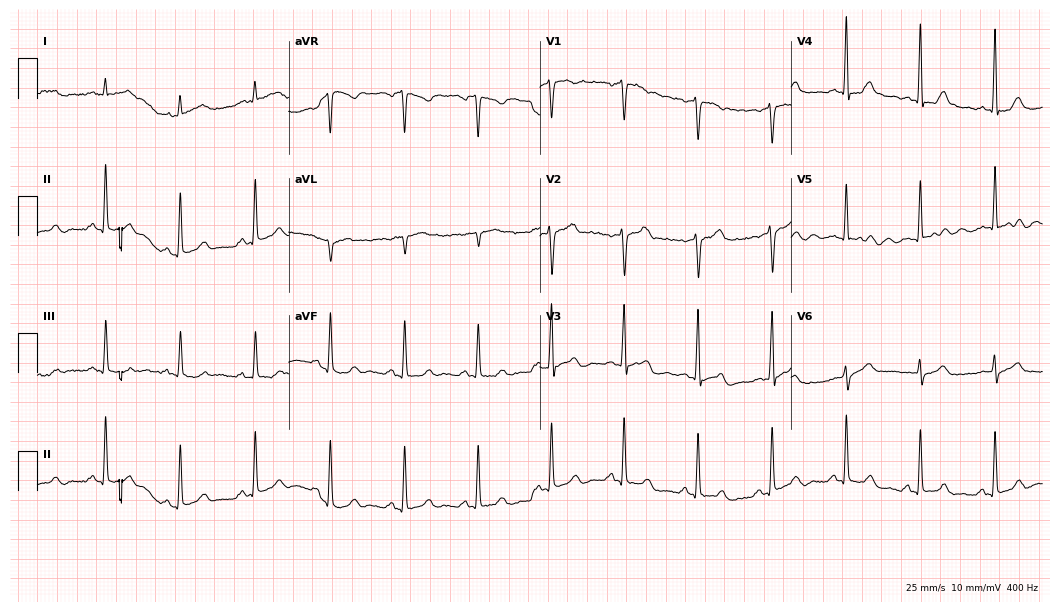
Resting 12-lead electrocardiogram (10.2-second recording at 400 Hz). Patient: a 58-year-old man. None of these six findings is recorded: first-degree AV block, right bundle branch block, left bundle branch block, sinus bradycardia, atrial fibrillation, sinus tachycardia.